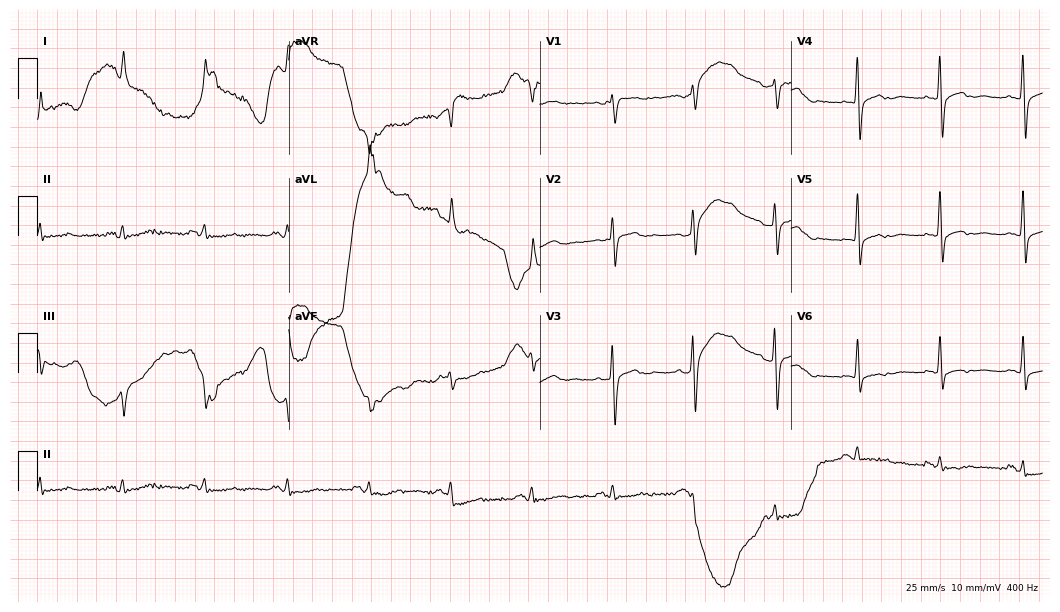
Resting 12-lead electrocardiogram. Patient: a 73-year-old female. None of these six findings is recorded: first-degree AV block, right bundle branch block, left bundle branch block, sinus bradycardia, atrial fibrillation, sinus tachycardia. Findings outside these six are not listed.